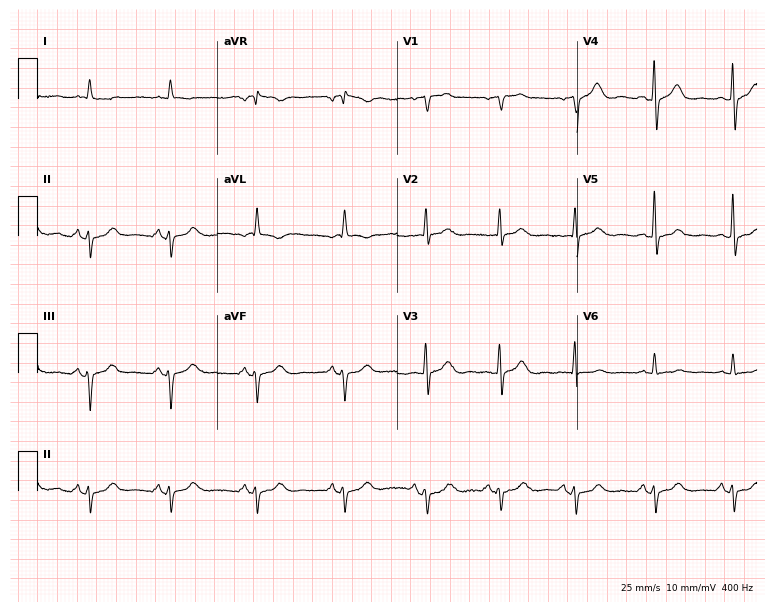
ECG (7.3-second recording at 400 Hz) — a male, 85 years old. Screened for six findings — first-degree AV block, right bundle branch block (RBBB), left bundle branch block (LBBB), sinus bradycardia, atrial fibrillation (AF), sinus tachycardia — none is recorded. Findings outside these six are not listed.